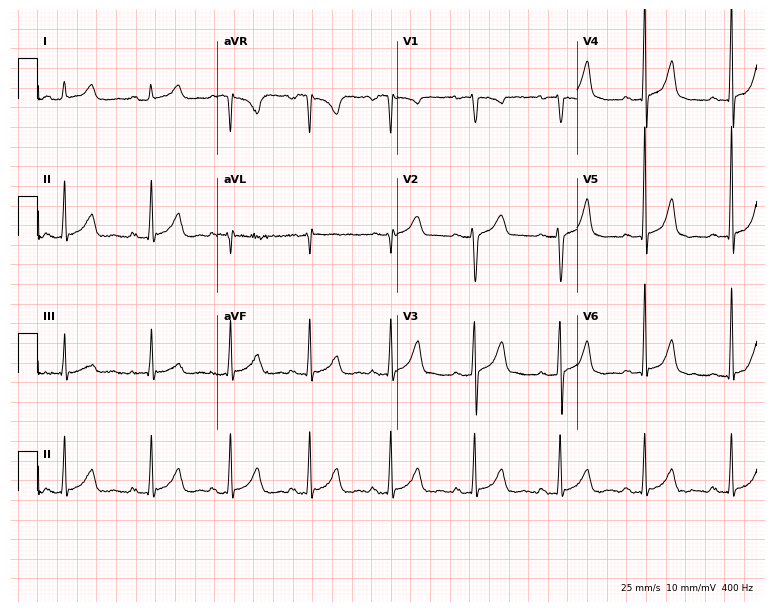
12-lead ECG from a 17-year-old female patient. Screened for six findings — first-degree AV block, right bundle branch block, left bundle branch block, sinus bradycardia, atrial fibrillation, sinus tachycardia — none is recorded. Only these six findings were labelled.